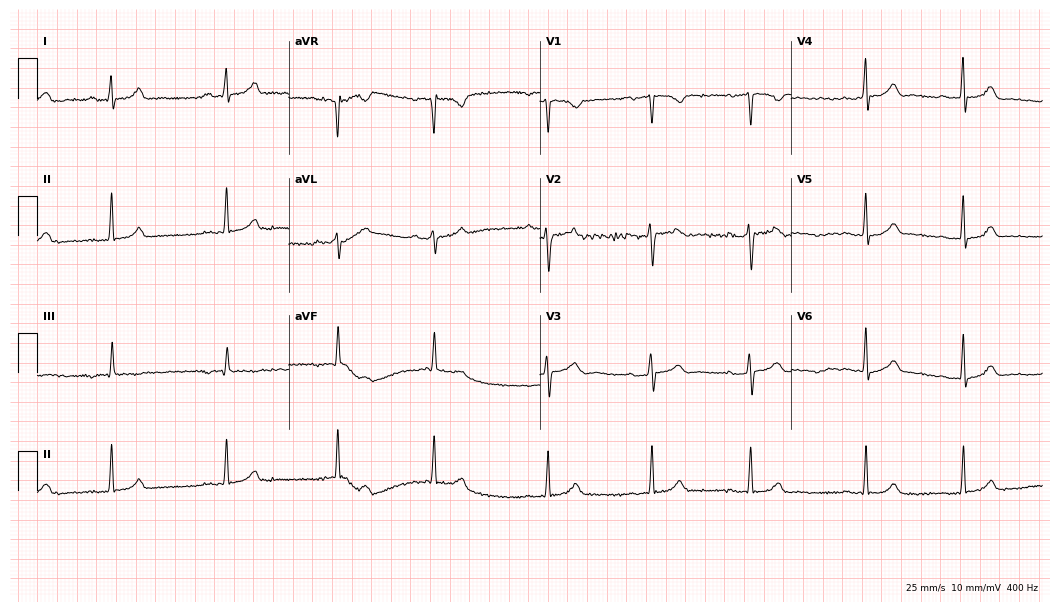
Standard 12-lead ECG recorded from a woman, 34 years old (10.2-second recording at 400 Hz). Read as a normal ECG.